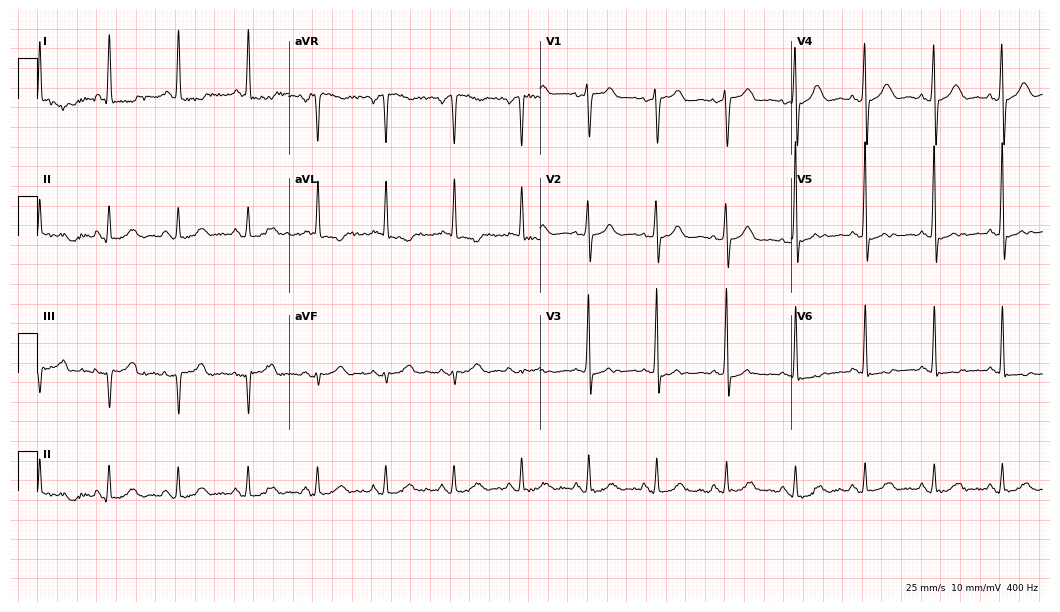
Electrocardiogram, a female patient, 68 years old. Of the six screened findings (first-degree AV block, right bundle branch block, left bundle branch block, sinus bradycardia, atrial fibrillation, sinus tachycardia), none is recorded.